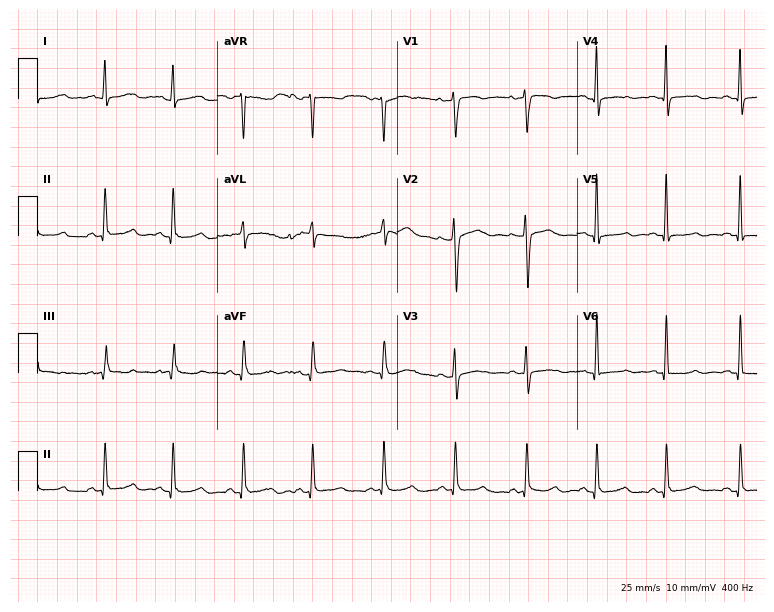
12-lead ECG (7.3-second recording at 400 Hz) from a 43-year-old woman. Labelled as a normal ECG.